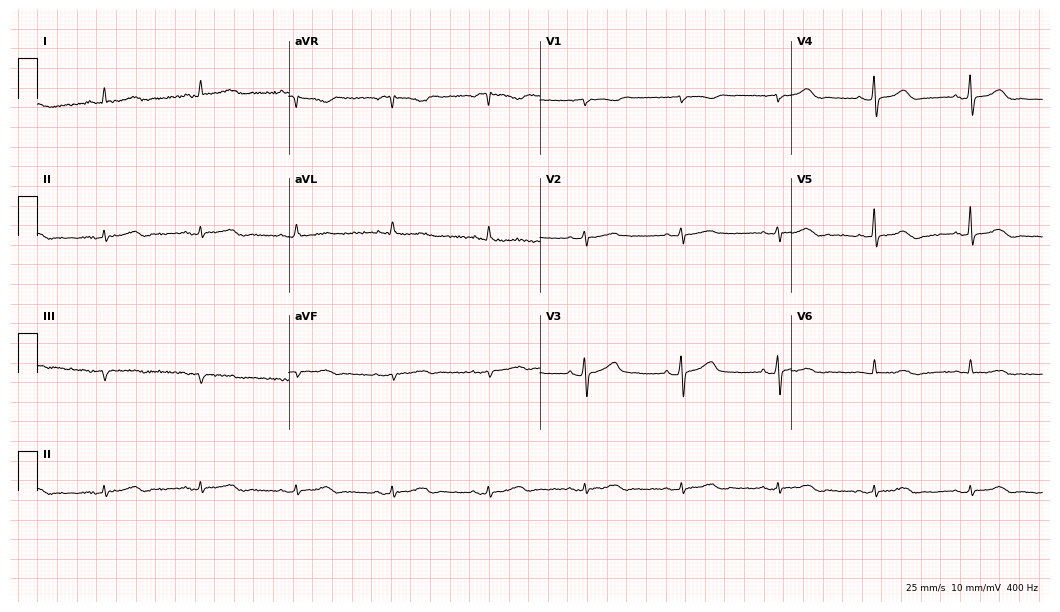
12-lead ECG from an 82-year-old female. Labelled as a normal ECG.